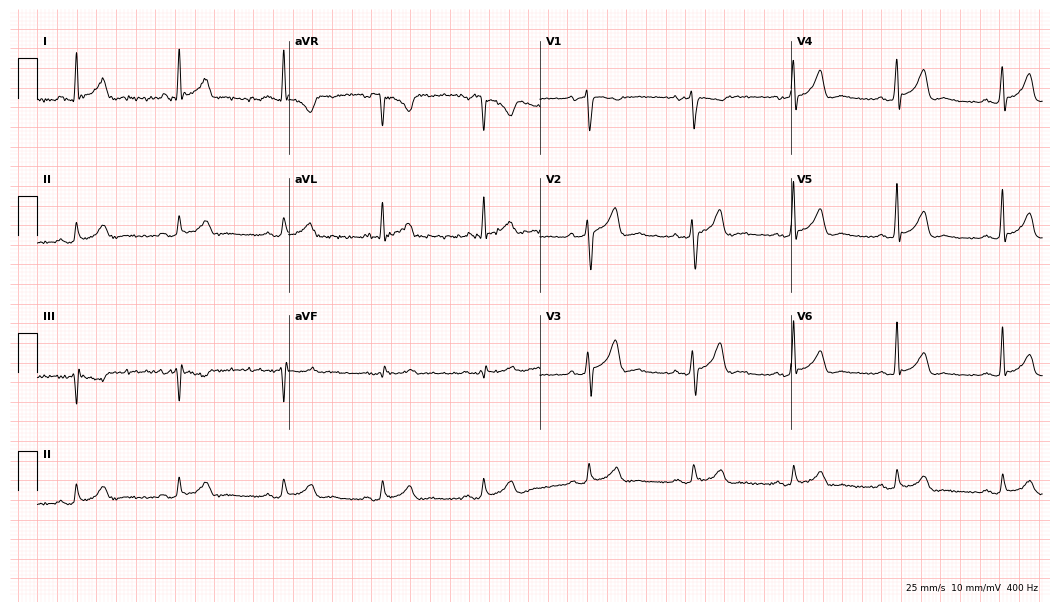
ECG (10.2-second recording at 400 Hz) — a 49-year-old male patient. Labelled as a normal ECG.